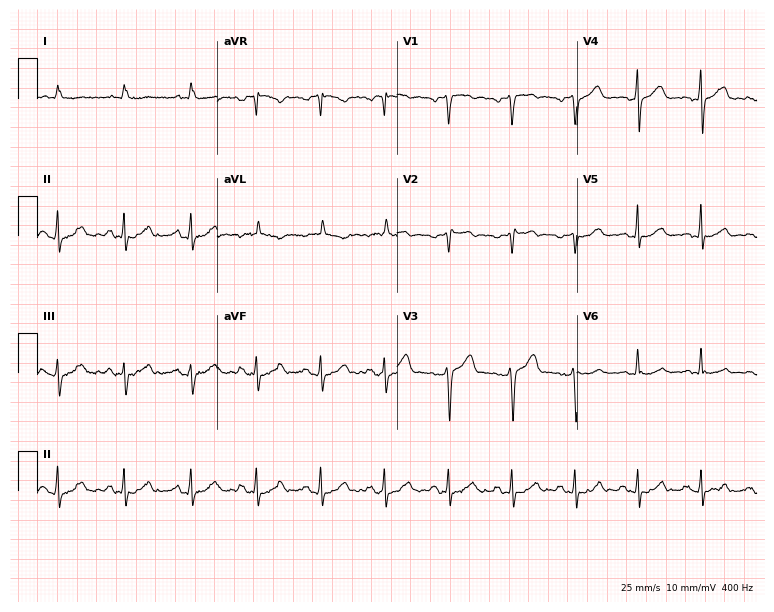
Standard 12-lead ECG recorded from a 52-year-old man. None of these six findings is recorded: first-degree AV block, right bundle branch block, left bundle branch block, sinus bradycardia, atrial fibrillation, sinus tachycardia.